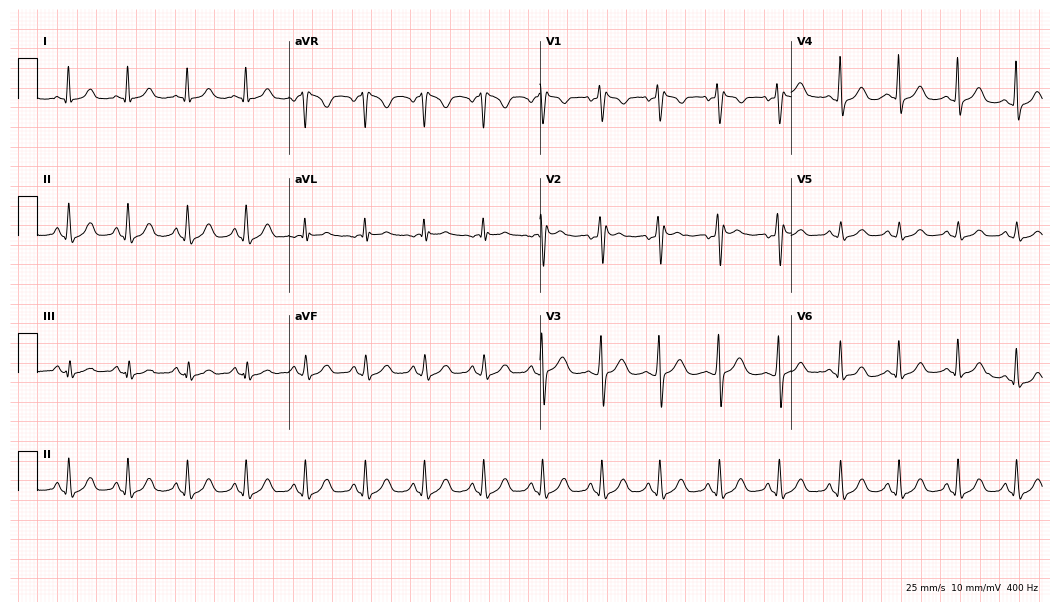
12-lead ECG (10.2-second recording at 400 Hz) from a female, 31 years old. Screened for six findings — first-degree AV block, right bundle branch block, left bundle branch block, sinus bradycardia, atrial fibrillation, sinus tachycardia — none is recorded.